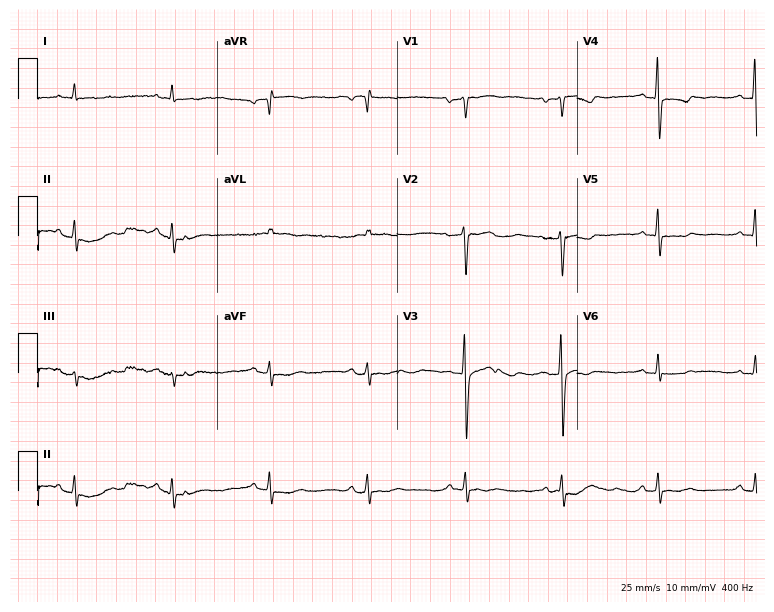
12-lead ECG (7.3-second recording at 400 Hz) from a 75-year-old man. Screened for six findings — first-degree AV block, right bundle branch block, left bundle branch block, sinus bradycardia, atrial fibrillation, sinus tachycardia — none is recorded.